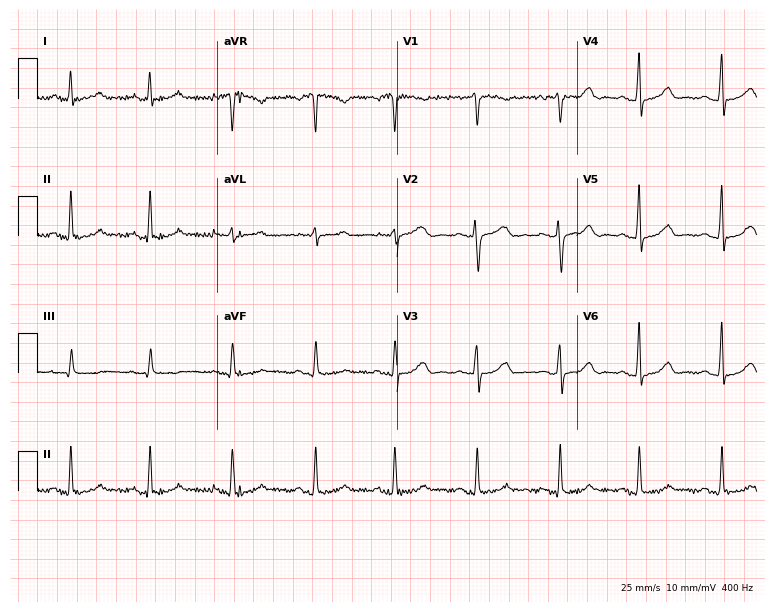
Resting 12-lead electrocardiogram (7.3-second recording at 400 Hz). Patient: a woman, 50 years old. Read as a normal ECG.